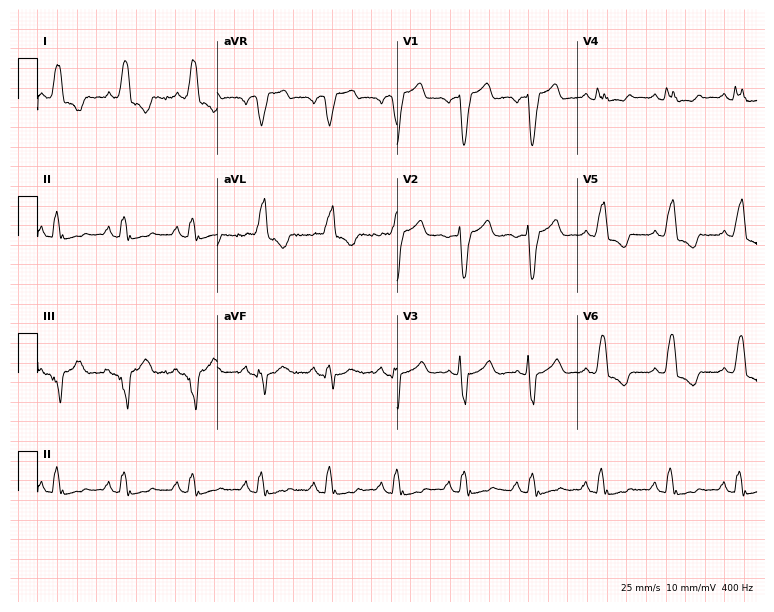
ECG (7.3-second recording at 400 Hz) — an 81-year-old female patient. Findings include left bundle branch block (LBBB).